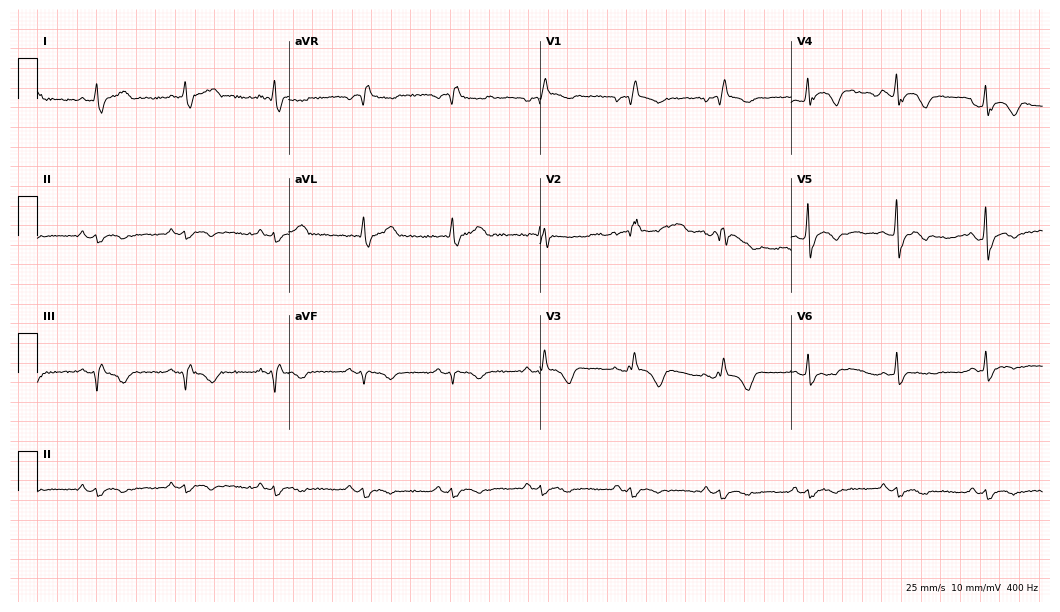
Electrocardiogram (10.2-second recording at 400 Hz), a 41-year-old female patient. Interpretation includes right bundle branch block.